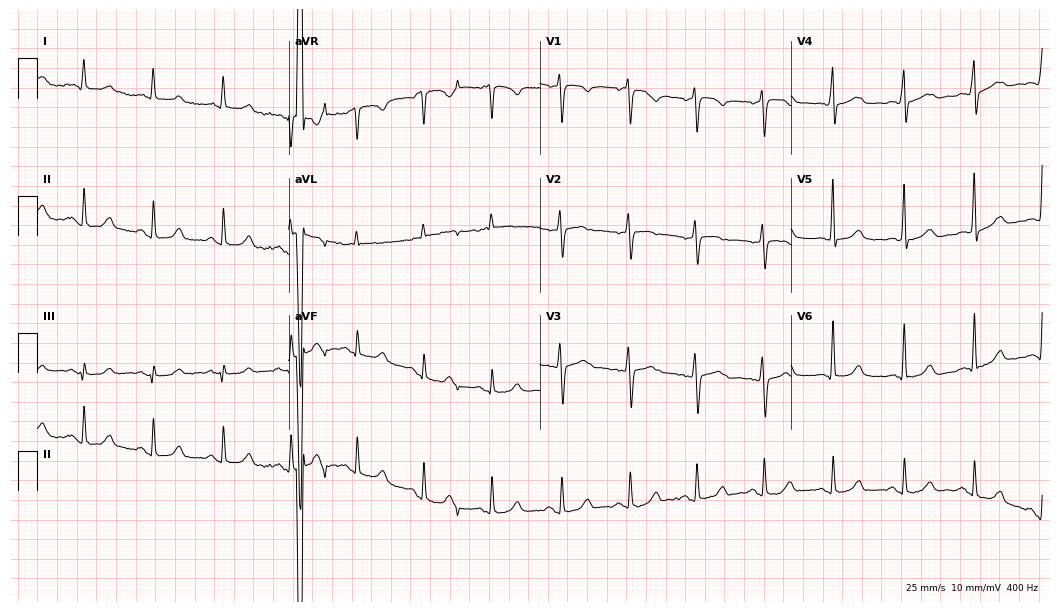
12-lead ECG (10.2-second recording at 400 Hz) from a female patient, 51 years old. Screened for six findings — first-degree AV block, right bundle branch block (RBBB), left bundle branch block (LBBB), sinus bradycardia, atrial fibrillation (AF), sinus tachycardia — none is recorded. Only these six findings were labelled.